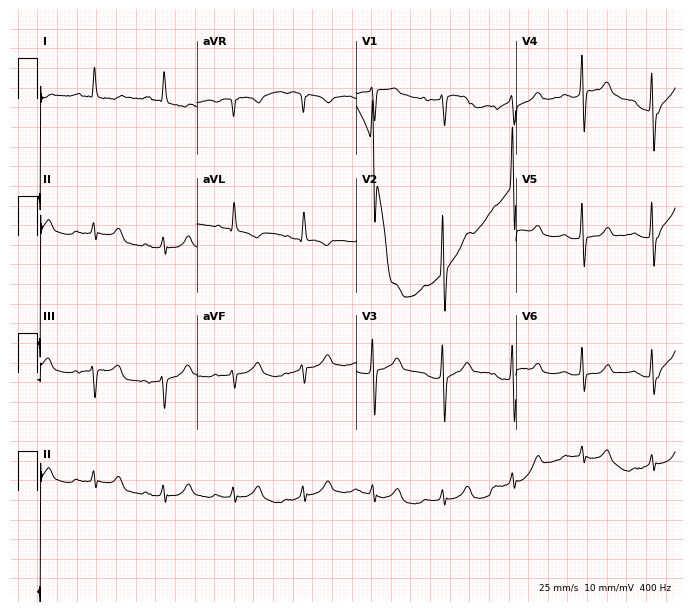
Standard 12-lead ECG recorded from a woman, 77 years old (6.5-second recording at 400 Hz). Read as a normal ECG.